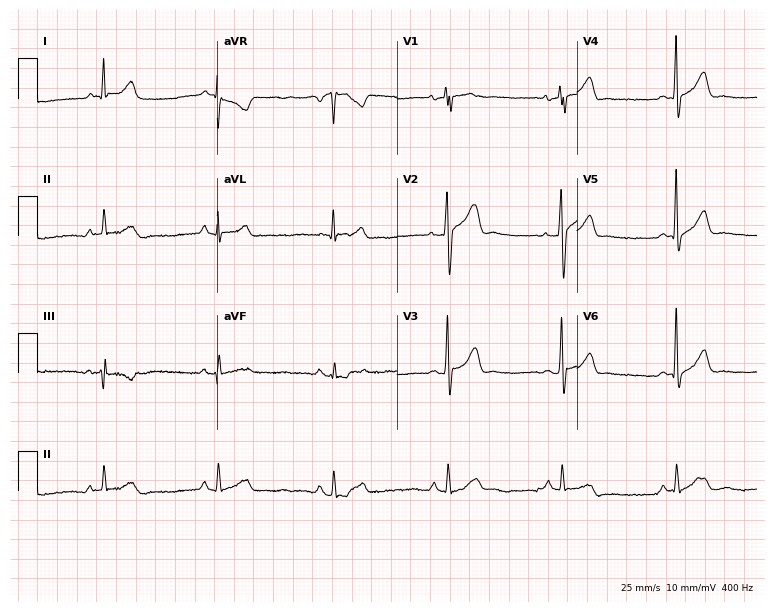
12-lead ECG from a 42-year-old male patient. Labelled as a normal ECG.